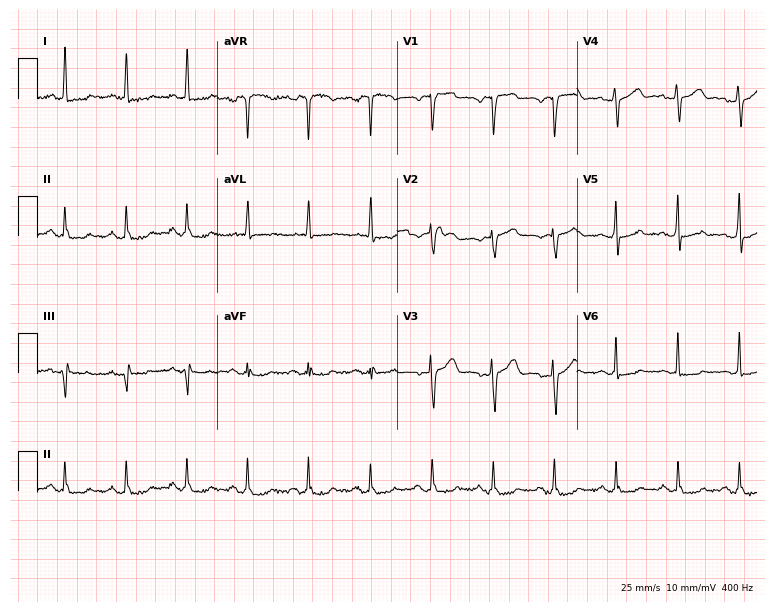
ECG (7.3-second recording at 400 Hz) — a 71-year-old male patient. Screened for six findings — first-degree AV block, right bundle branch block (RBBB), left bundle branch block (LBBB), sinus bradycardia, atrial fibrillation (AF), sinus tachycardia — none is recorded.